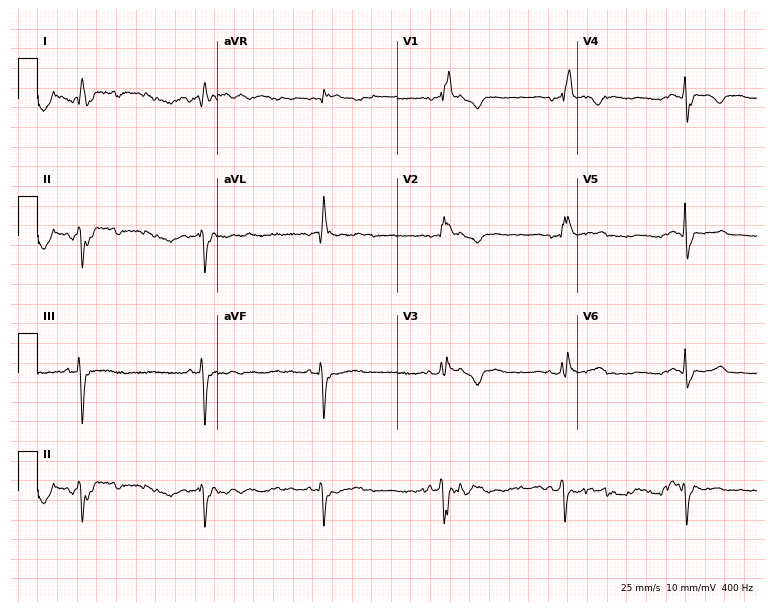
ECG — a female patient, 39 years old. Findings include right bundle branch block (RBBB), sinus bradycardia (a sinus rate of 50 beats per minute or less).